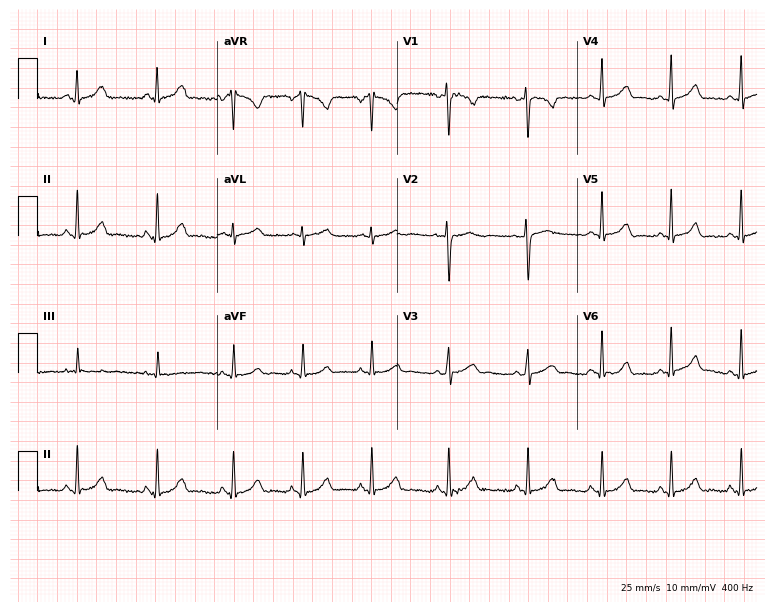
Resting 12-lead electrocardiogram (7.3-second recording at 400 Hz). Patient: a female, 21 years old. Read as a normal ECG.